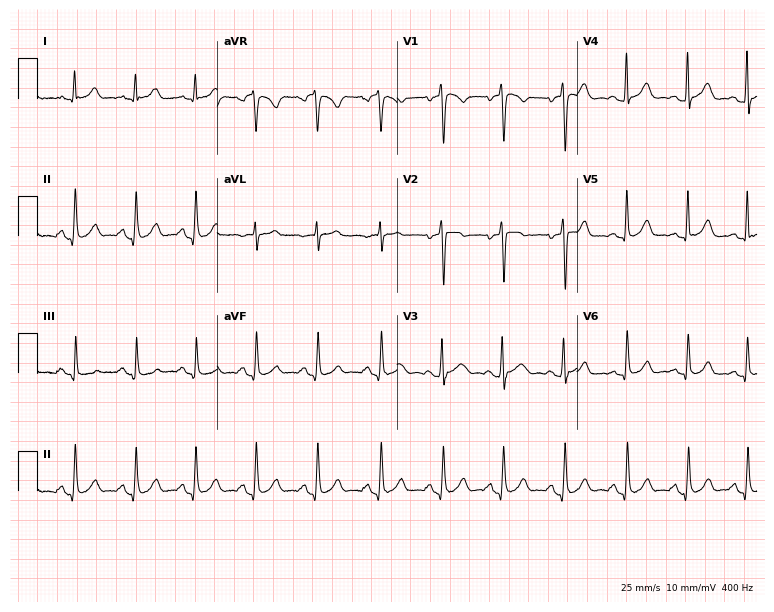
ECG — a 28-year-old man. Labelled as a normal ECG.